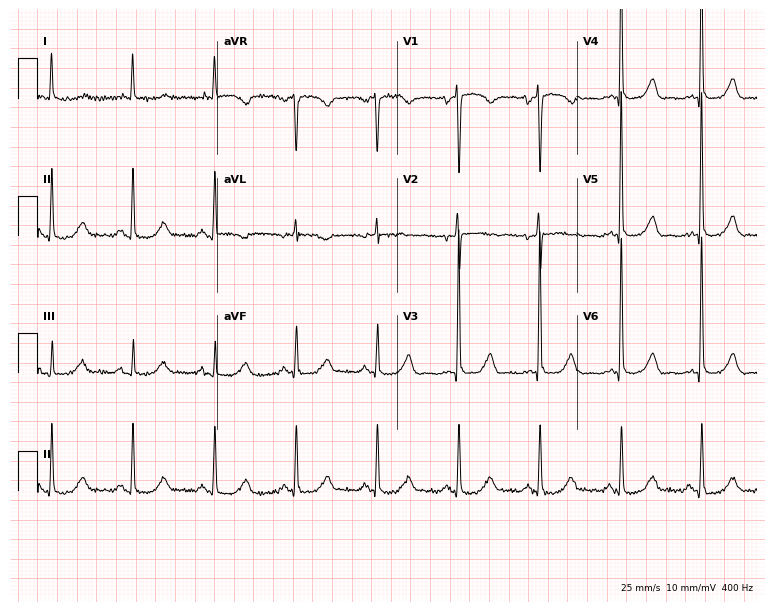
Electrocardiogram (7.3-second recording at 400 Hz), a 69-year-old female patient. Of the six screened findings (first-degree AV block, right bundle branch block, left bundle branch block, sinus bradycardia, atrial fibrillation, sinus tachycardia), none is recorded.